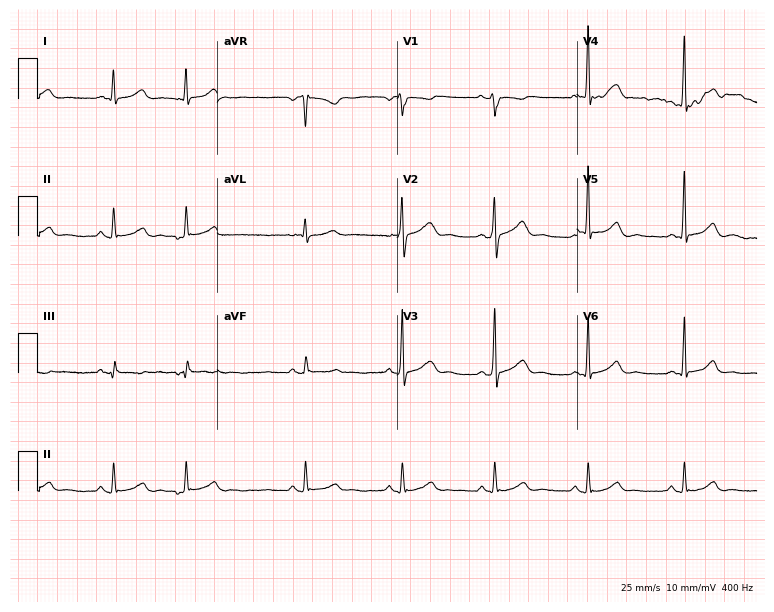
Electrocardiogram, a male patient, 40 years old. Of the six screened findings (first-degree AV block, right bundle branch block, left bundle branch block, sinus bradycardia, atrial fibrillation, sinus tachycardia), none is recorded. Other findings, if any, are not listed.